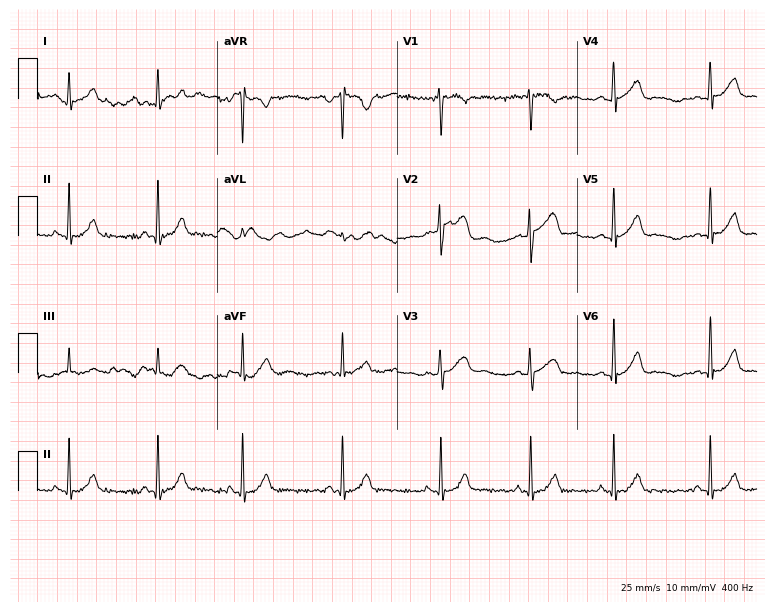
ECG (7.3-second recording at 400 Hz) — a 21-year-old female. Screened for six findings — first-degree AV block, right bundle branch block (RBBB), left bundle branch block (LBBB), sinus bradycardia, atrial fibrillation (AF), sinus tachycardia — none is recorded. Only these six findings were labelled.